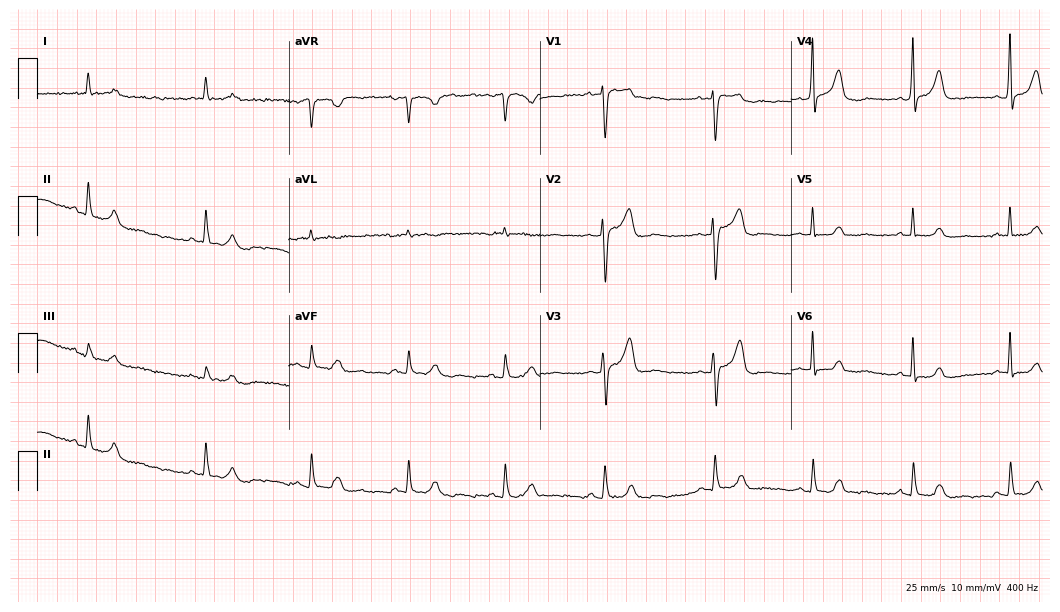
ECG — a 63-year-old female. Labelled as a normal ECG.